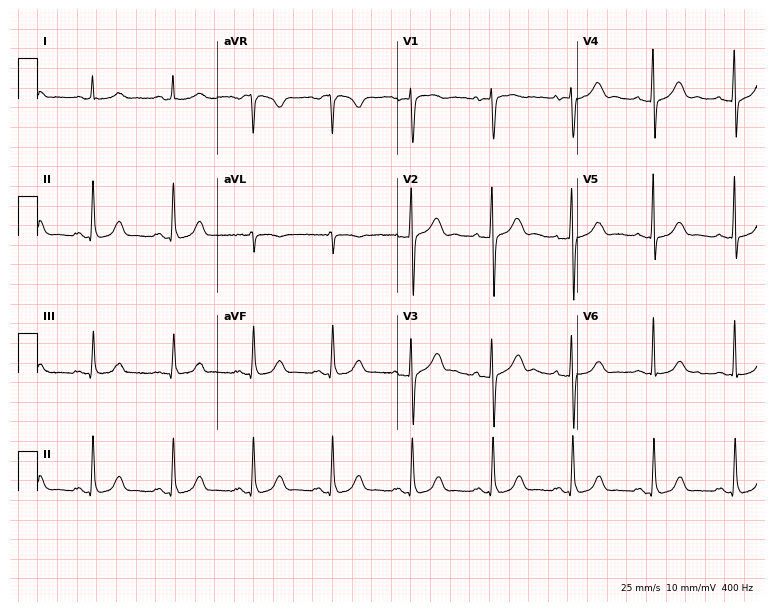
12-lead ECG from a male patient, 52 years old. Labelled as a normal ECG.